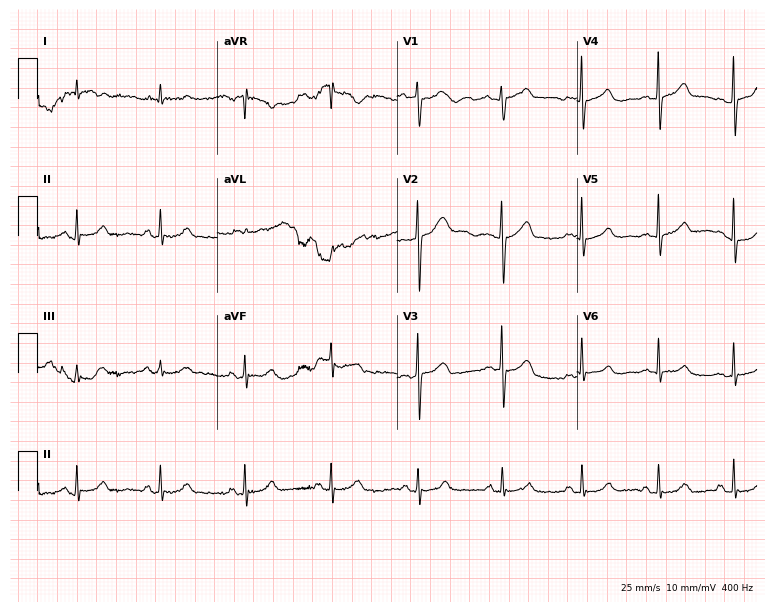
Standard 12-lead ECG recorded from a 72-year-old male patient. Read as a normal ECG.